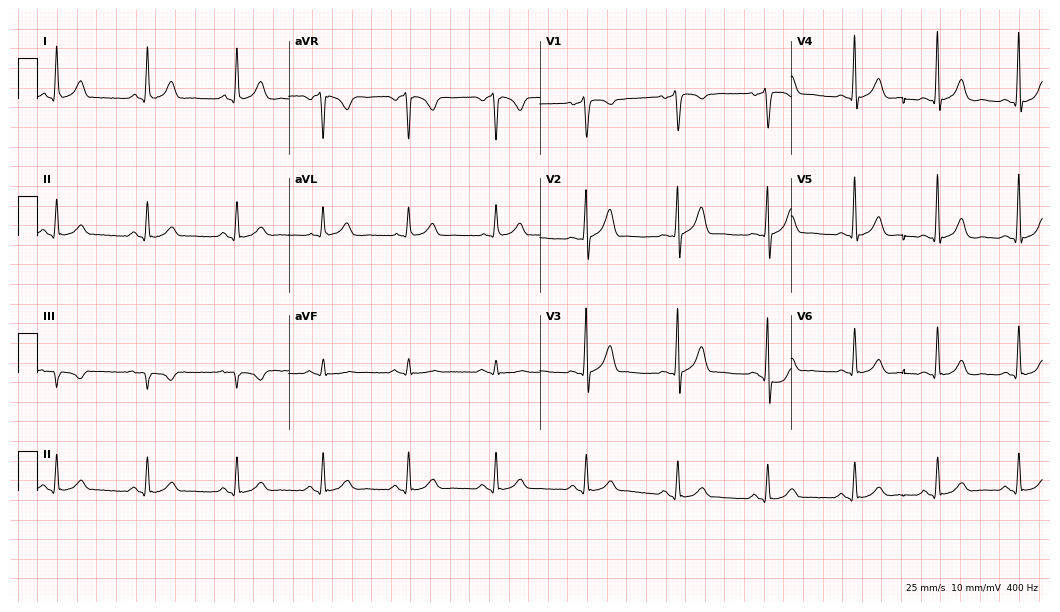
Standard 12-lead ECG recorded from a 48-year-old male. None of these six findings is recorded: first-degree AV block, right bundle branch block, left bundle branch block, sinus bradycardia, atrial fibrillation, sinus tachycardia. Findings outside these six are not listed.